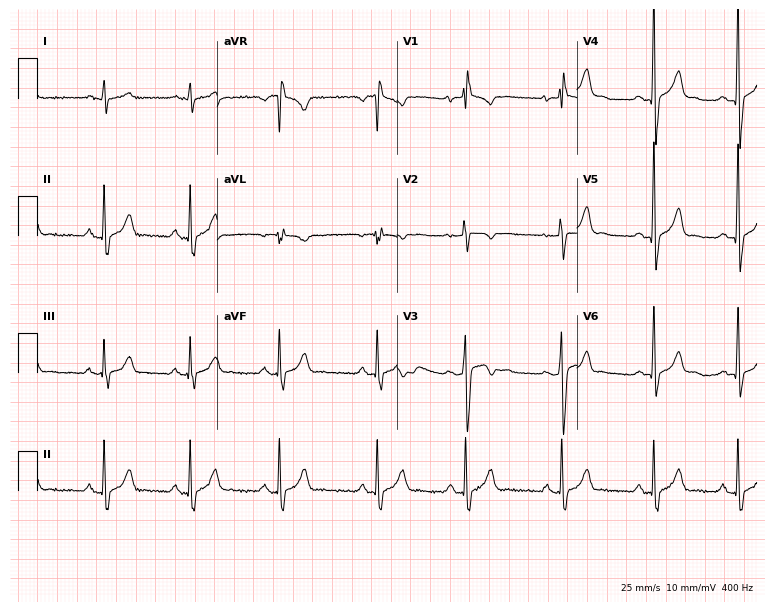
12-lead ECG from a 19-year-old male. Recorded interpretation: within normal limits.